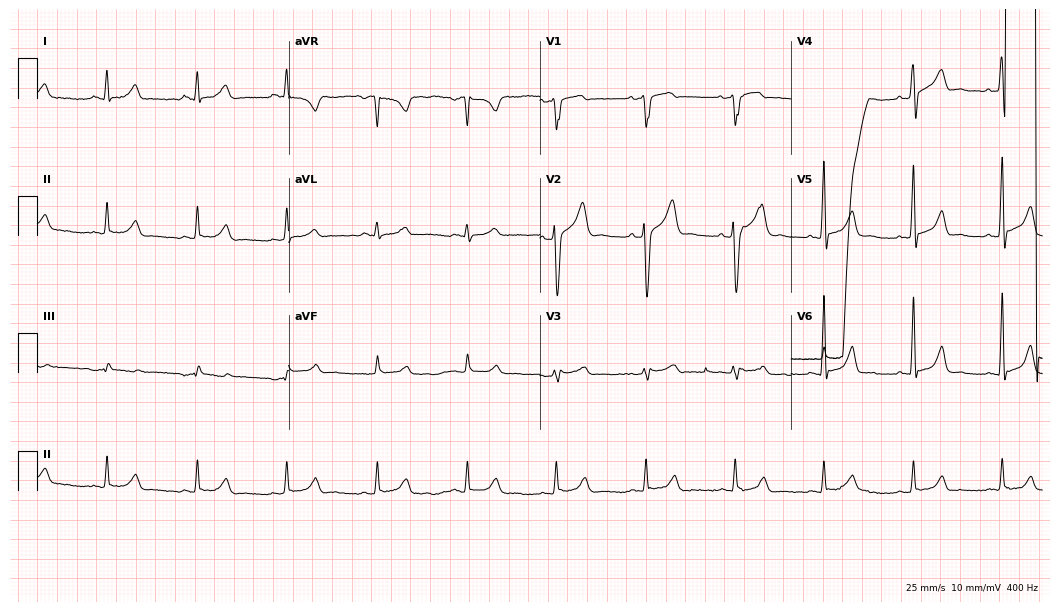
Resting 12-lead electrocardiogram (10.2-second recording at 400 Hz). Patient: a male, 55 years old. Read as a normal ECG.